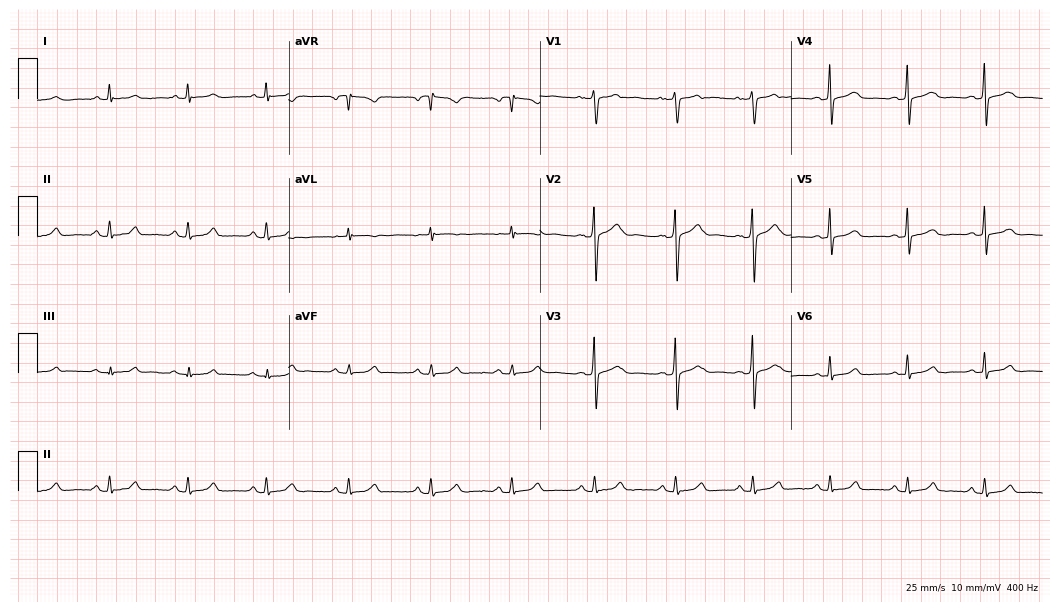
Standard 12-lead ECG recorded from a 36-year-old woman. Read as a normal ECG.